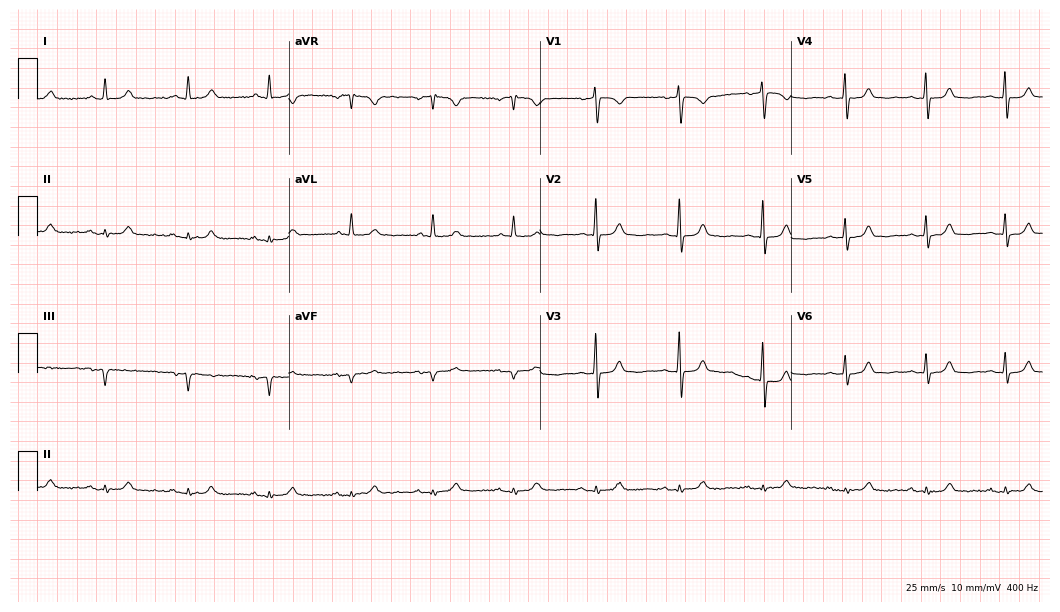
12-lead ECG from a female, 70 years old. Labelled as a normal ECG.